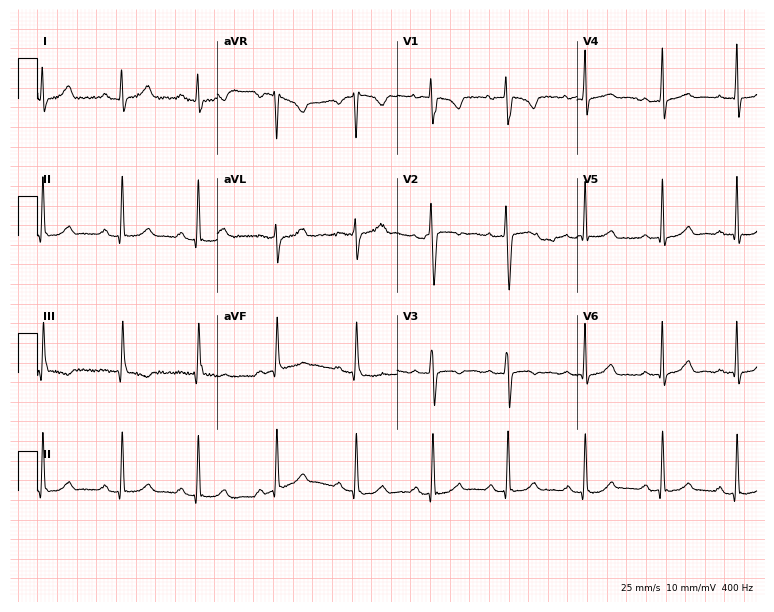
12-lead ECG from a 28-year-old female patient. Screened for six findings — first-degree AV block, right bundle branch block, left bundle branch block, sinus bradycardia, atrial fibrillation, sinus tachycardia — none is recorded. Only these six findings were labelled.